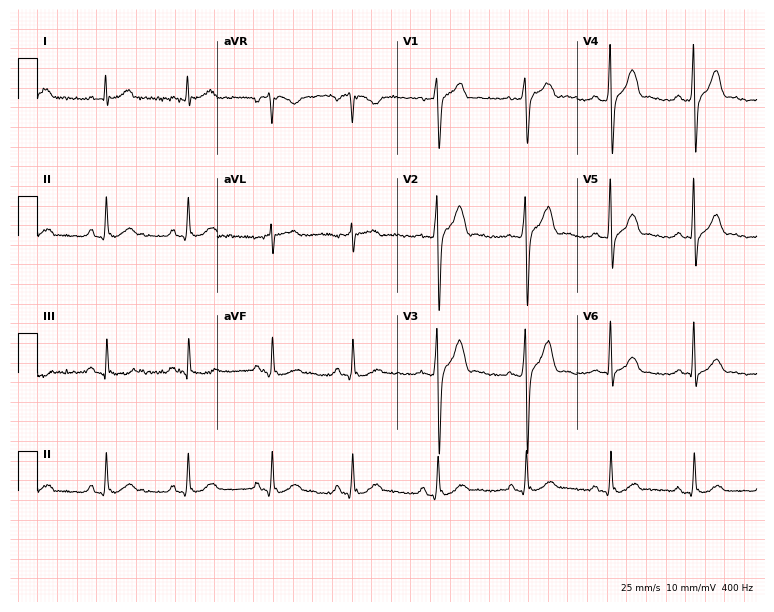
12-lead ECG from a 39-year-old male. Screened for six findings — first-degree AV block, right bundle branch block, left bundle branch block, sinus bradycardia, atrial fibrillation, sinus tachycardia — none is recorded.